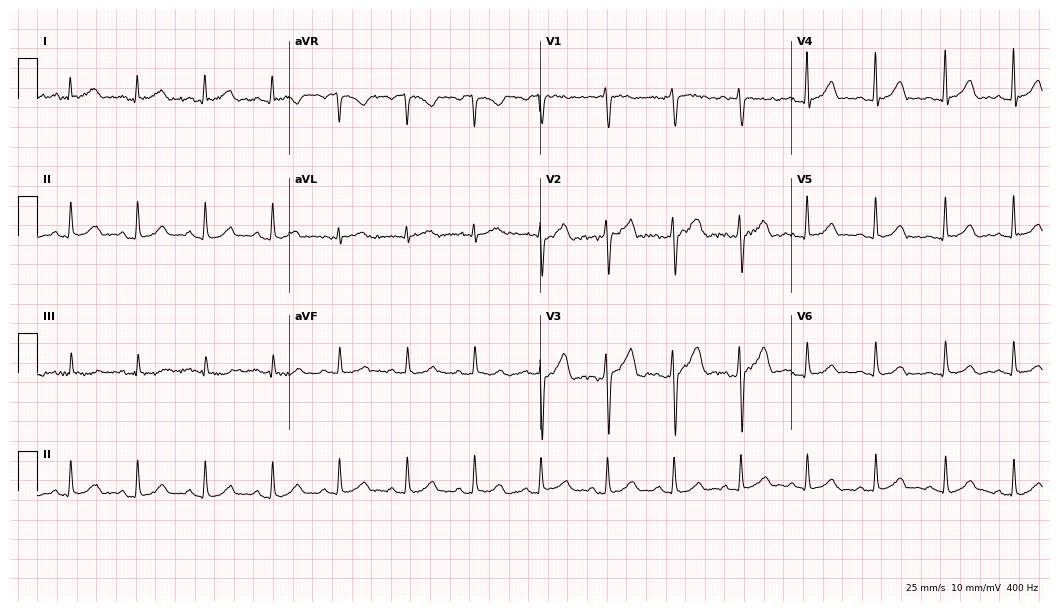
Standard 12-lead ECG recorded from a woman, 23 years old (10.2-second recording at 400 Hz). Read as a normal ECG.